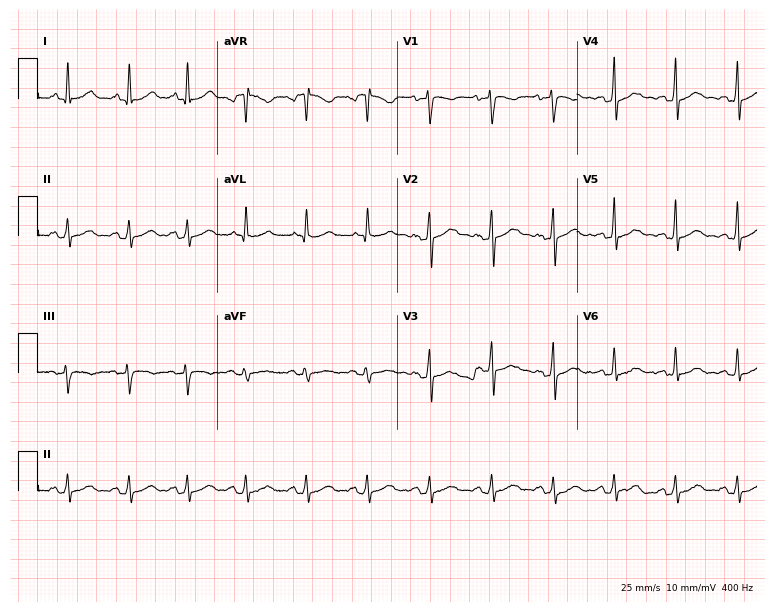
Resting 12-lead electrocardiogram. Patient: a 53-year-old male. None of these six findings is recorded: first-degree AV block, right bundle branch block (RBBB), left bundle branch block (LBBB), sinus bradycardia, atrial fibrillation (AF), sinus tachycardia.